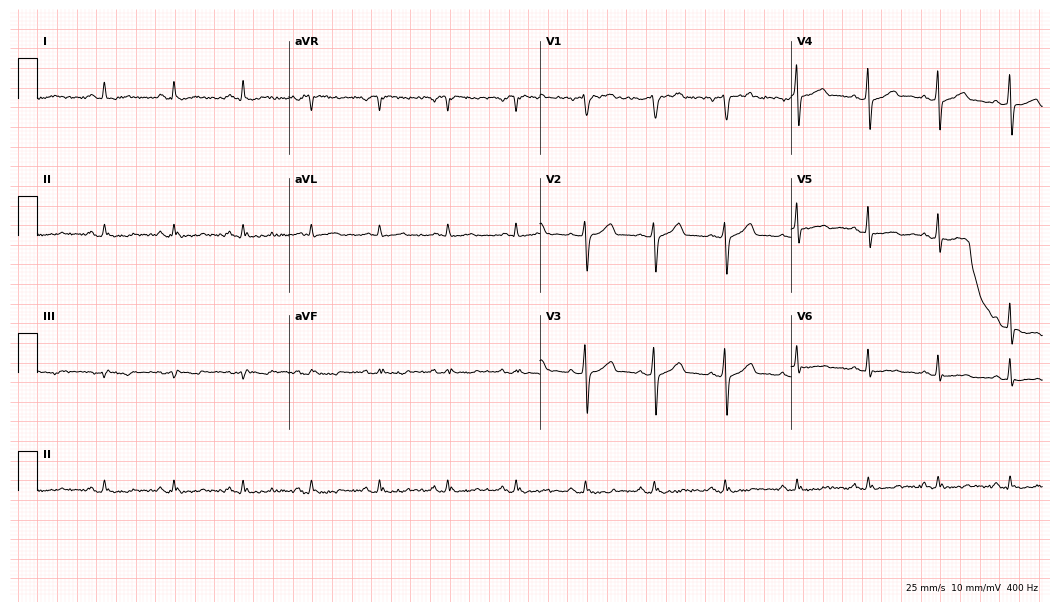
Resting 12-lead electrocardiogram. Patient: a male, 51 years old. Read as a normal ECG.